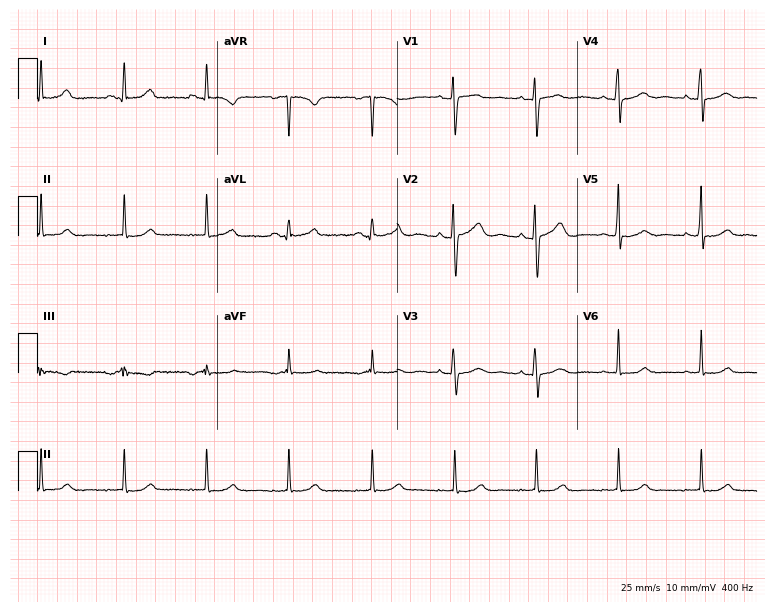
12-lead ECG from a 49-year-old female patient. Labelled as a normal ECG.